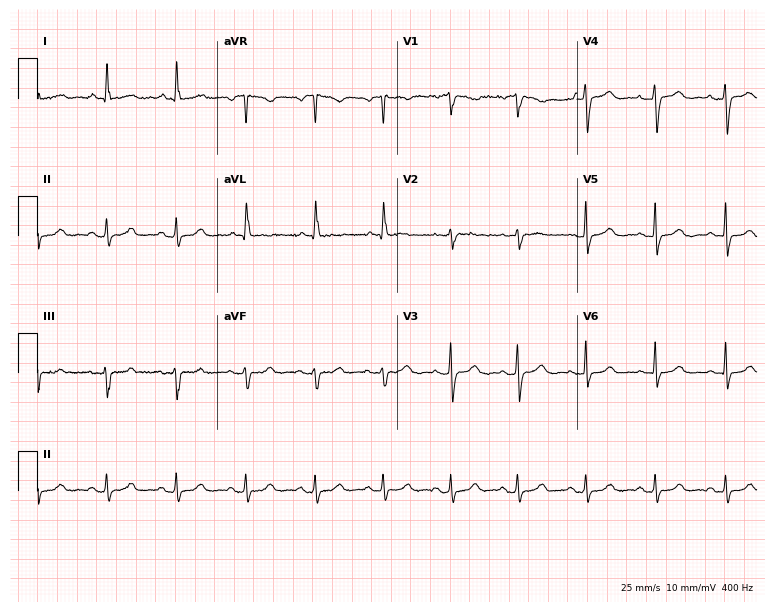
Standard 12-lead ECG recorded from a 69-year-old female patient. Read as a normal ECG.